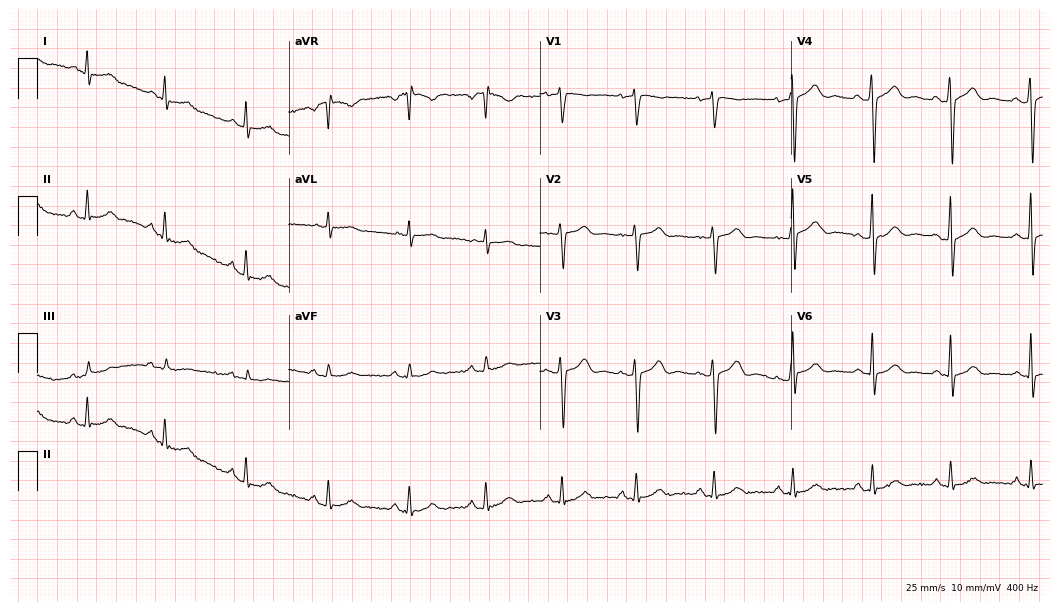
Standard 12-lead ECG recorded from a female, 48 years old. Read as a normal ECG.